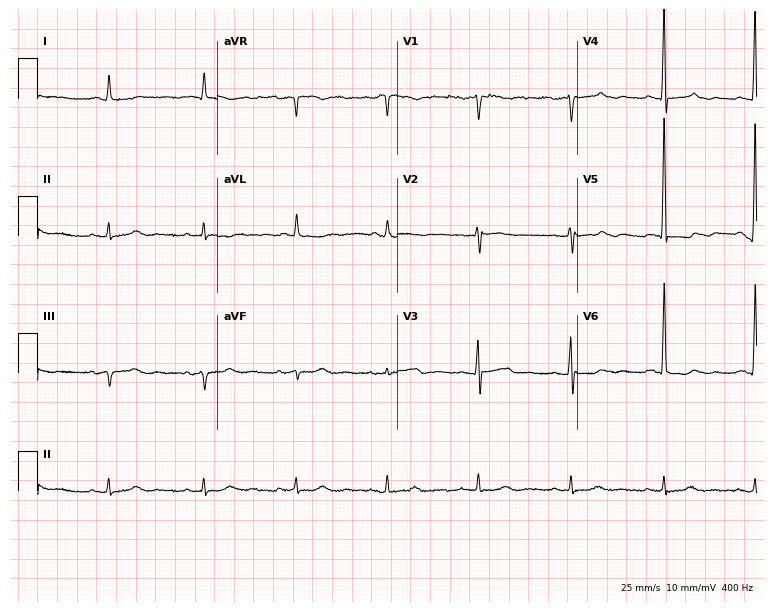
Electrocardiogram, an 81-year-old male. Of the six screened findings (first-degree AV block, right bundle branch block (RBBB), left bundle branch block (LBBB), sinus bradycardia, atrial fibrillation (AF), sinus tachycardia), none is recorded.